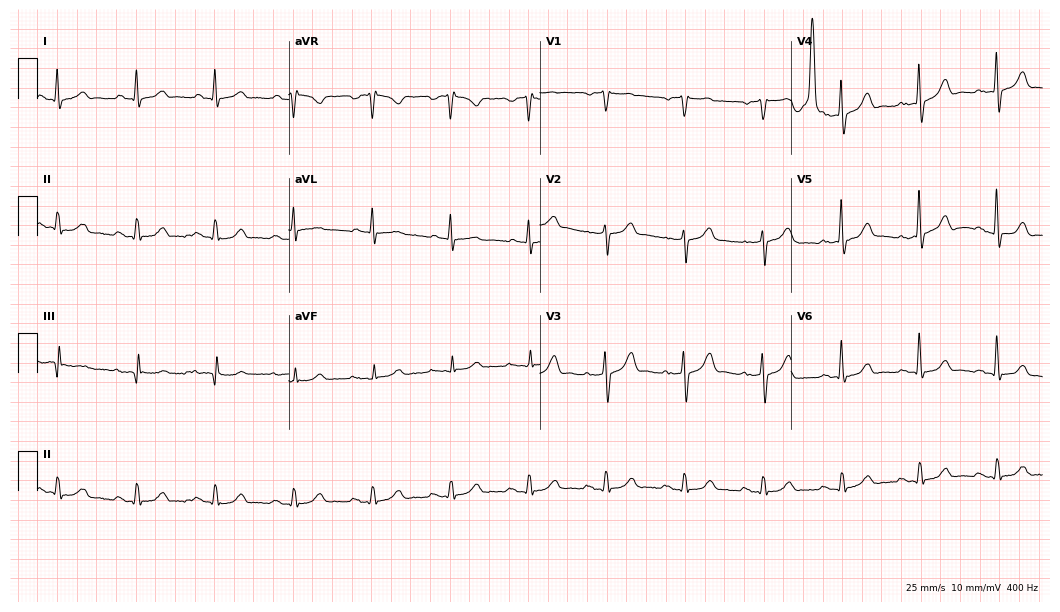
Resting 12-lead electrocardiogram. Patient: a 52-year-old male. Read as a normal ECG.